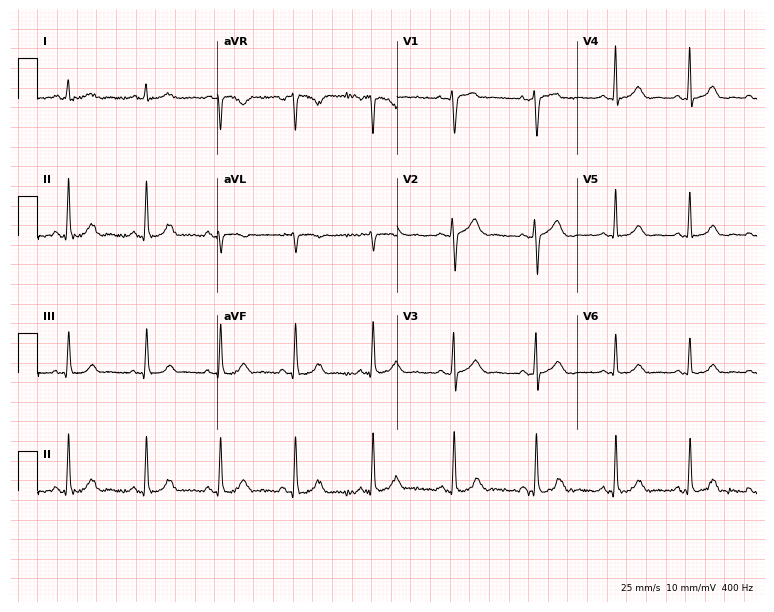
12-lead ECG from a 32-year-old female patient. No first-degree AV block, right bundle branch block, left bundle branch block, sinus bradycardia, atrial fibrillation or sinus tachycardia recorded for this tracing.